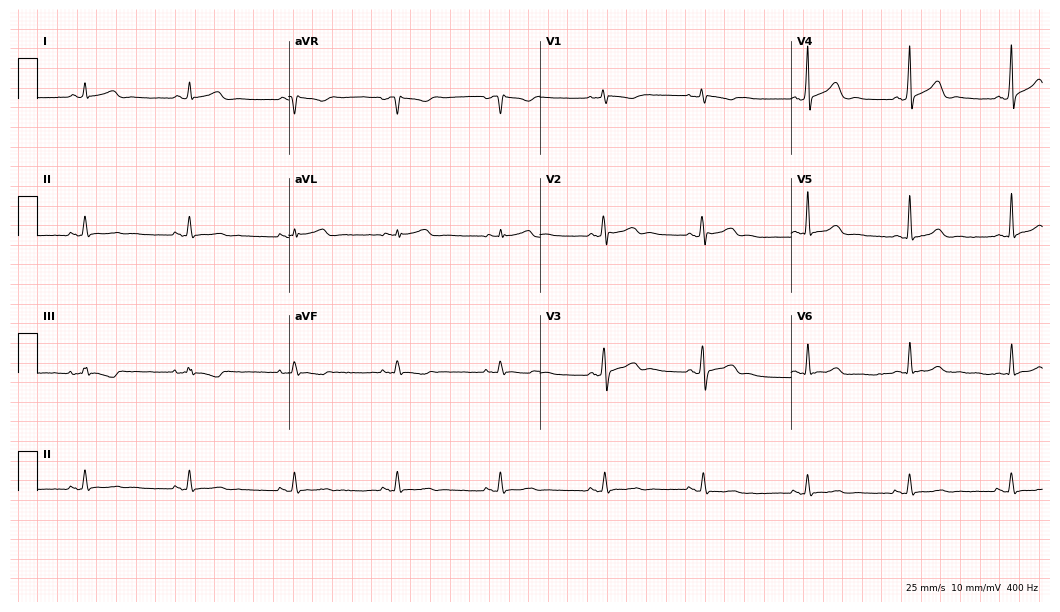
Standard 12-lead ECG recorded from a 42-year-old female patient. Read as a normal ECG.